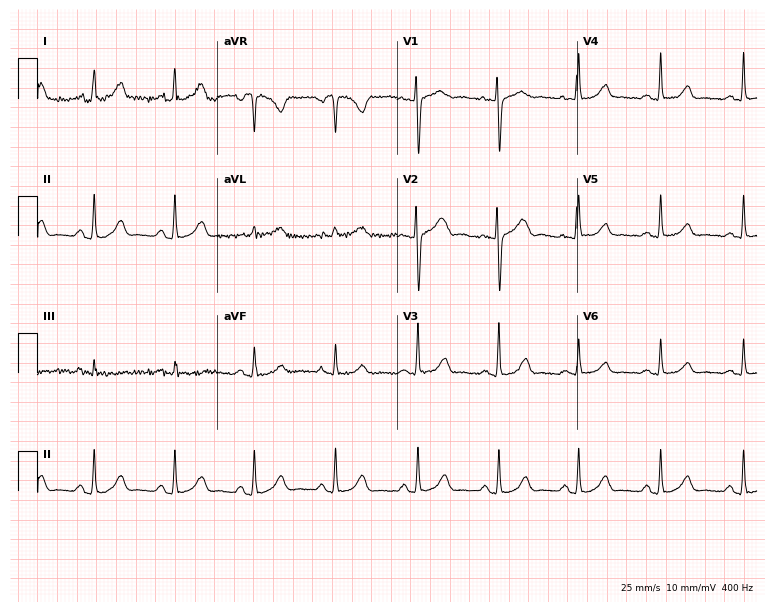
Standard 12-lead ECG recorded from a 31-year-old female. Read as a normal ECG.